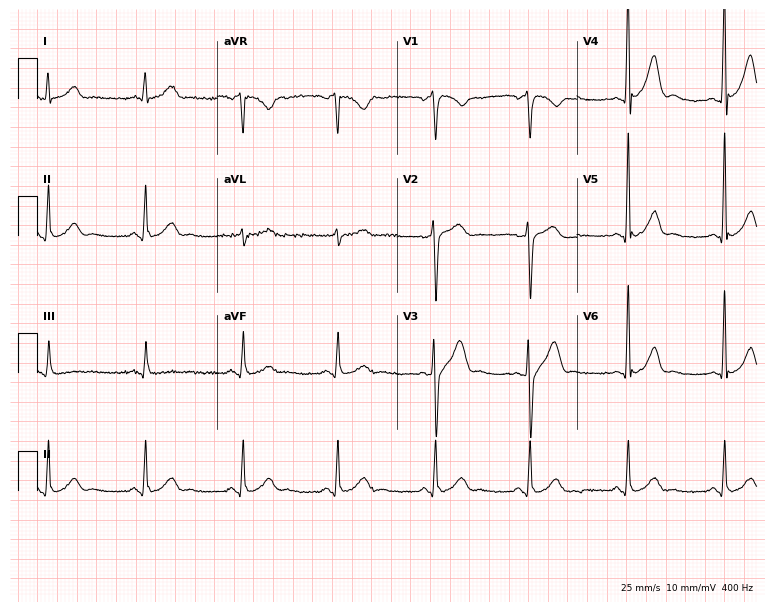
Electrocardiogram (7.3-second recording at 400 Hz), a 36-year-old man. Overall reading on record: normal ECG.